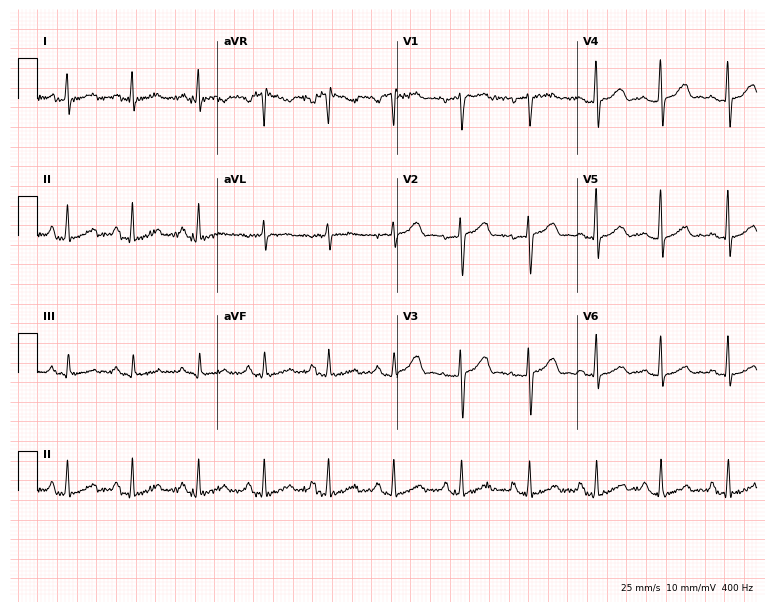
12-lead ECG from a 47-year-old female patient. Labelled as a normal ECG.